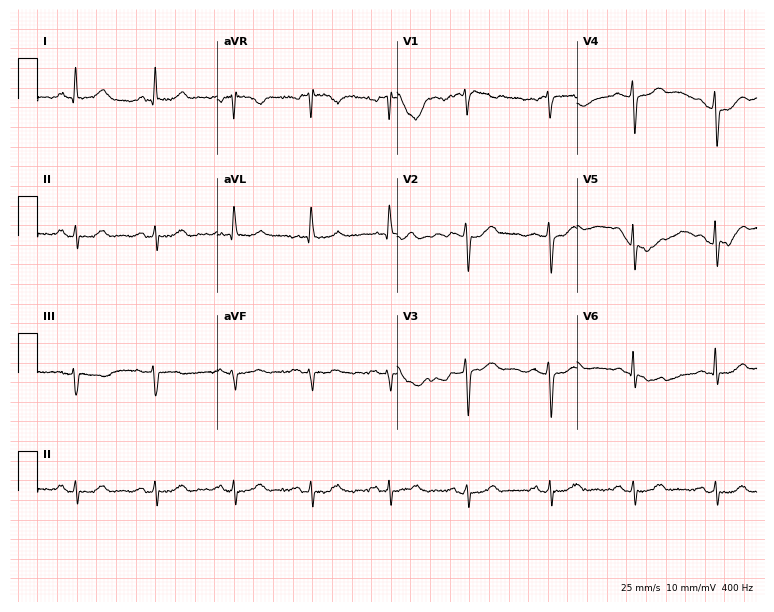
ECG — a male, 74 years old. Labelled as a normal ECG.